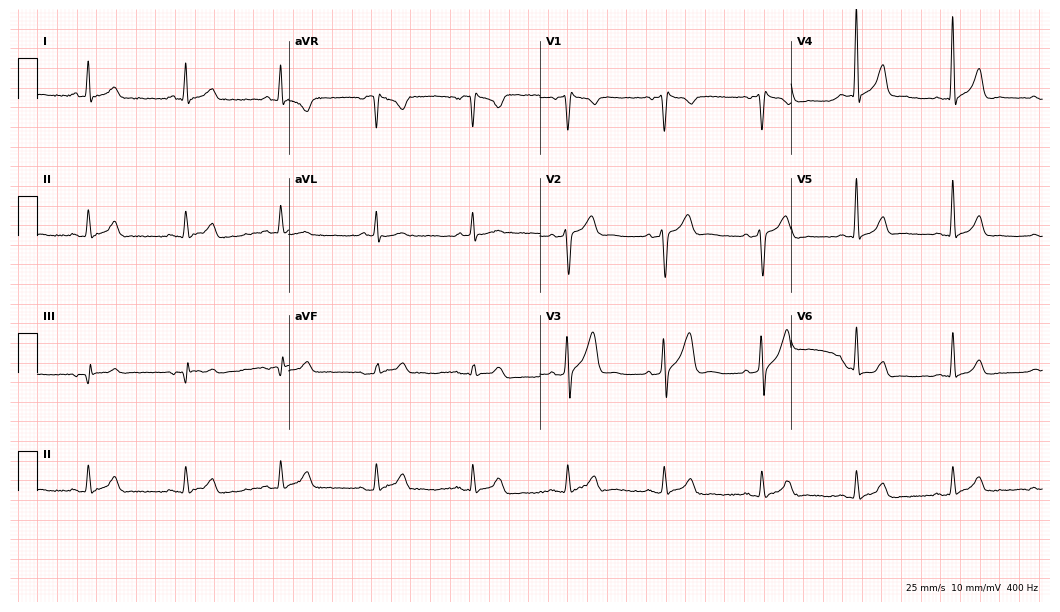
12-lead ECG from a male patient, 64 years old (10.2-second recording at 400 Hz). Recorded interpretation: within normal limits.